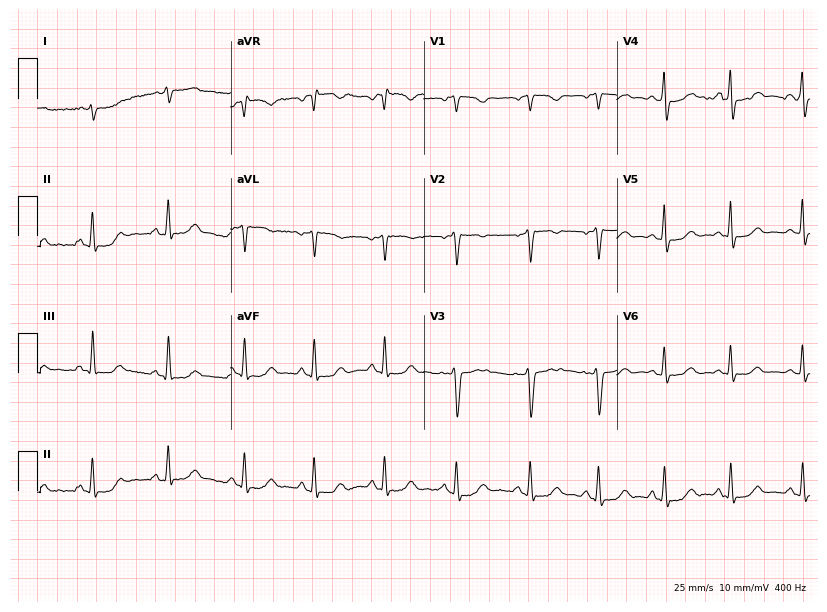
Electrocardiogram (7.9-second recording at 400 Hz), a female patient, 57 years old. Of the six screened findings (first-degree AV block, right bundle branch block (RBBB), left bundle branch block (LBBB), sinus bradycardia, atrial fibrillation (AF), sinus tachycardia), none is recorded. Findings outside these six are not listed.